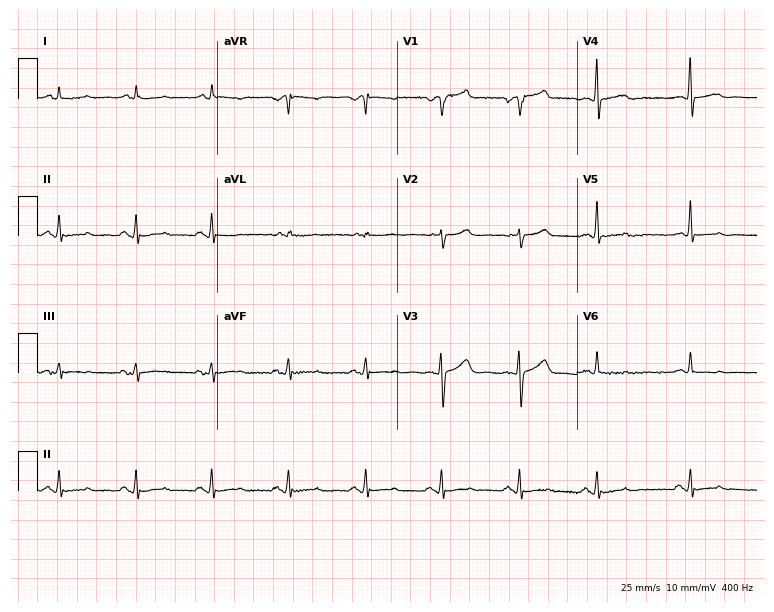
12-lead ECG (7.3-second recording at 400 Hz) from an 81-year-old male patient. Screened for six findings — first-degree AV block, right bundle branch block (RBBB), left bundle branch block (LBBB), sinus bradycardia, atrial fibrillation (AF), sinus tachycardia — none is recorded. Findings outside these six are not listed.